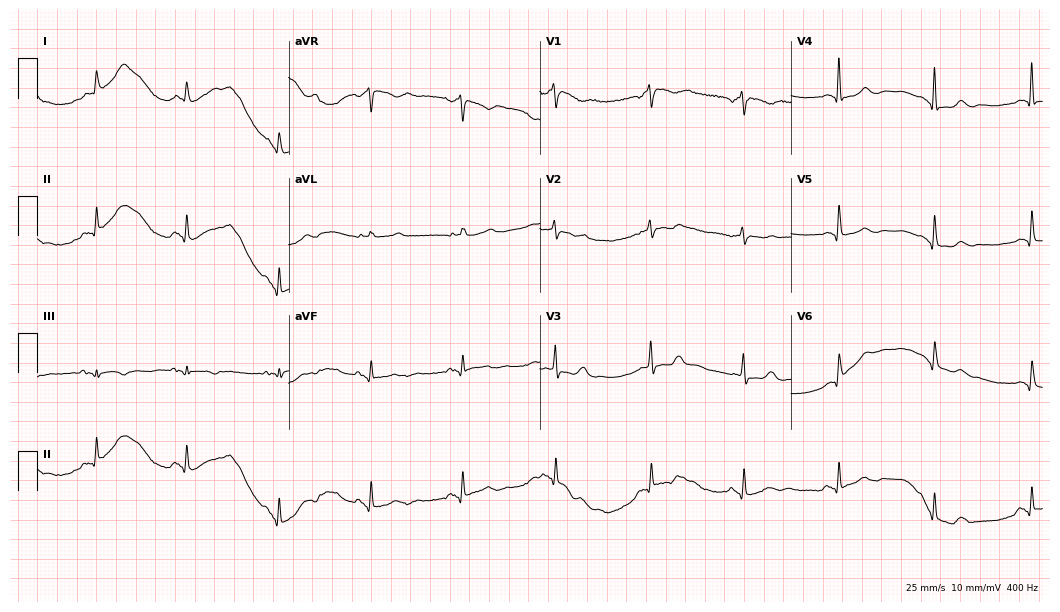
12-lead ECG from a 73-year-old female patient (10.2-second recording at 400 Hz). No first-degree AV block, right bundle branch block, left bundle branch block, sinus bradycardia, atrial fibrillation or sinus tachycardia recorded for this tracing. Other findings, if any, are not listed.